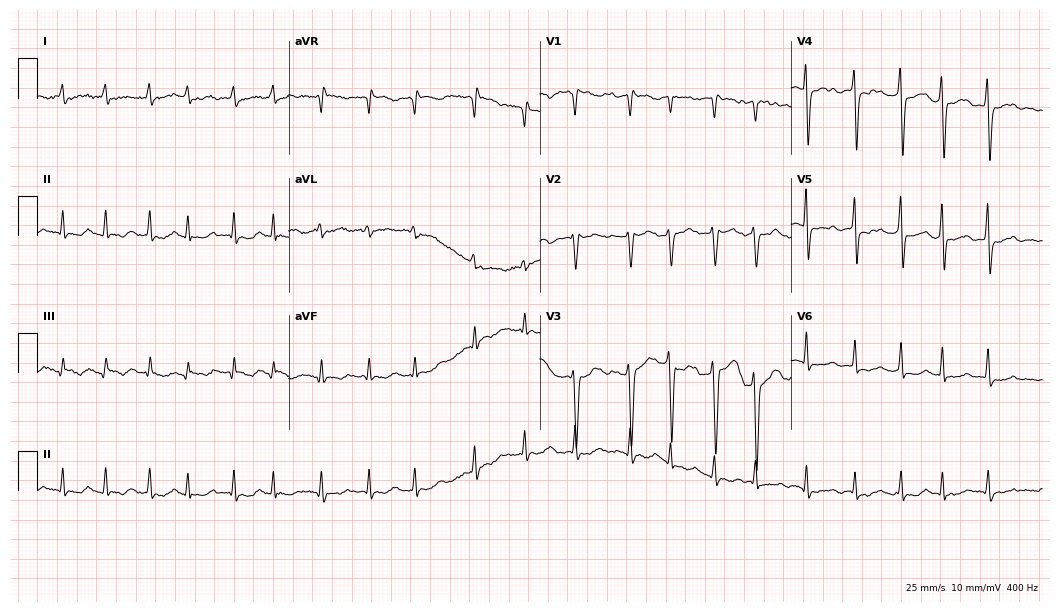
Electrocardiogram, a female patient, 36 years old. Of the six screened findings (first-degree AV block, right bundle branch block, left bundle branch block, sinus bradycardia, atrial fibrillation, sinus tachycardia), none is recorded.